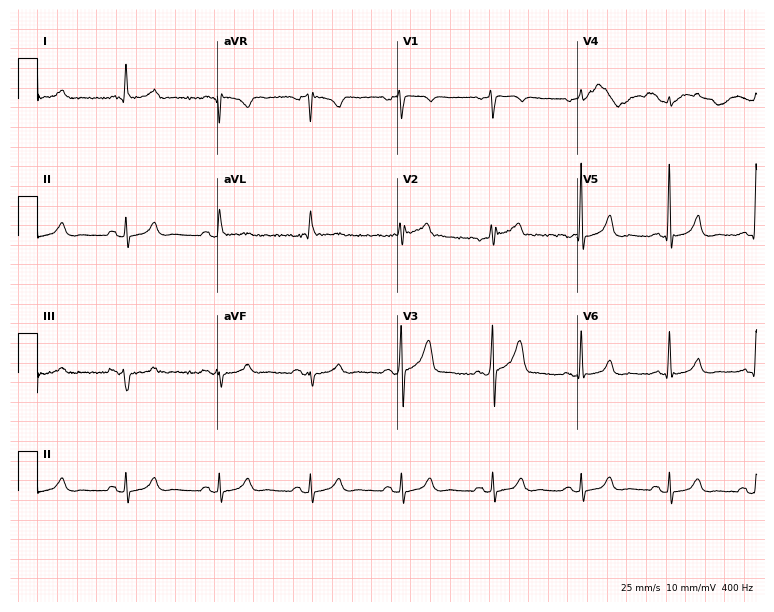
Electrocardiogram (7.3-second recording at 400 Hz), a male patient, 74 years old. Overall reading on record: normal ECG.